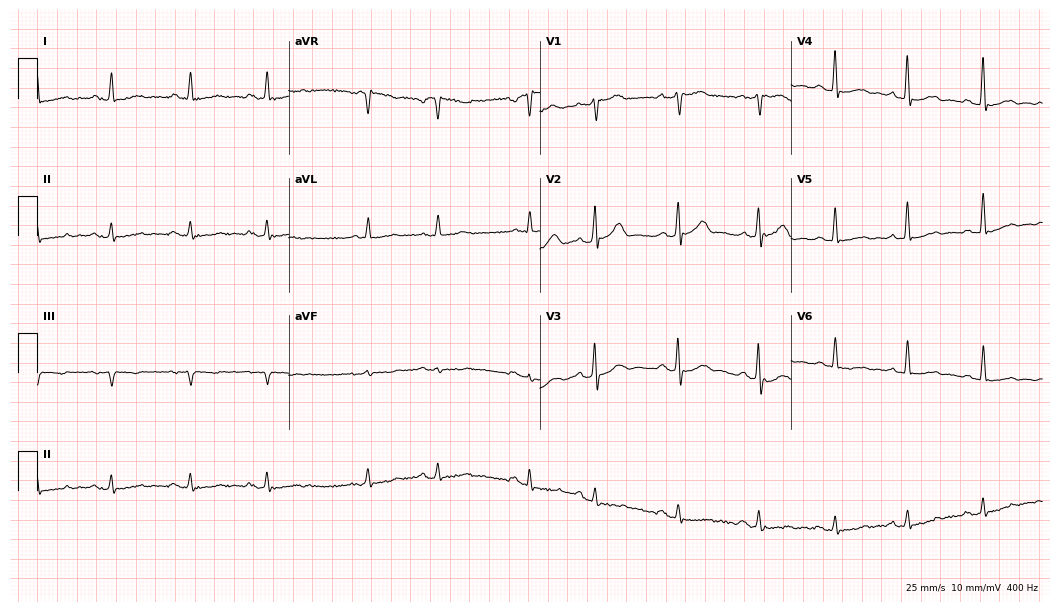
Standard 12-lead ECG recorded from an 86-year-old male patient. None of these six findings is recorded: first-degree AV block, right bundle branch block, left bundle branch block, sinus bradycardia, atrial fibrillation, sinus tachycardia. Only these six findings were labelled.